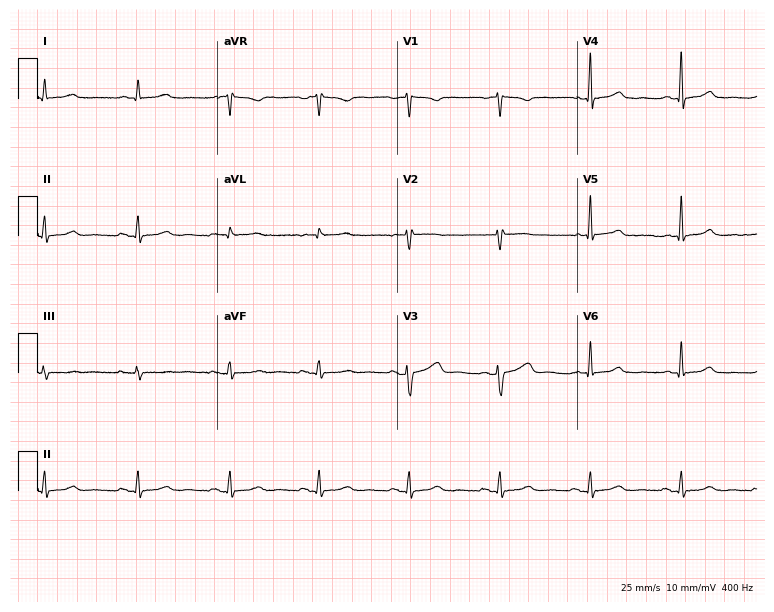
12-lead ECG (7.3-second recording at 400 Hz) from a 48-year-old female. Screened for six findings — first-degree AV block, right bundle branch block, left bundle branch block, sinus bradycardia, atrial fibrillation, sinus tachycardia — none is recorded.